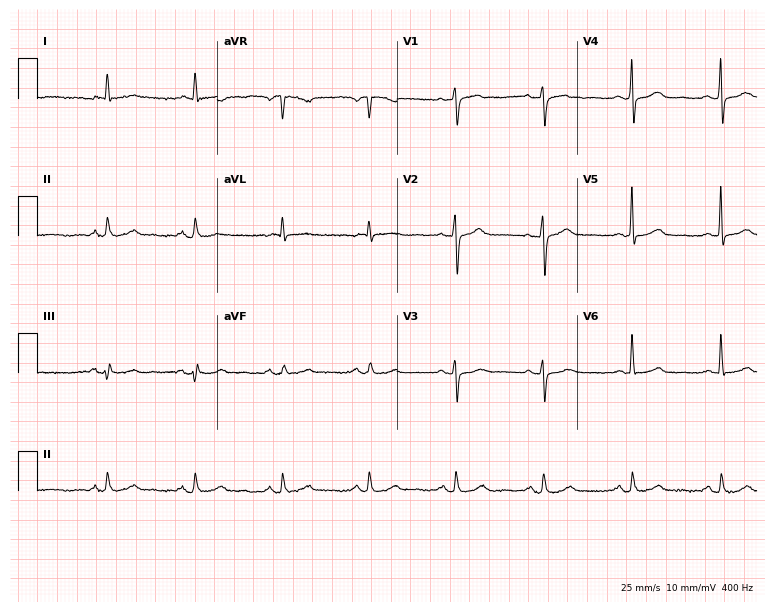
ECG — a woman, 84 years old. Labelled as a normal ECG.